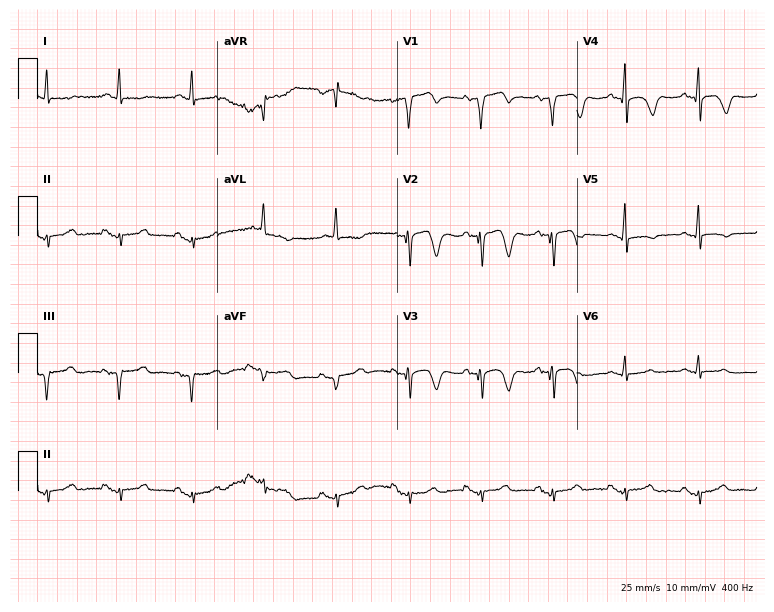
Standard 12-lead ECG recorded from a male, 64 years old. None of these six findings is recorded: first-degree AV block, right bundle branch block (RBBB), left bundle branch block (LBBB), sinus bradycardia, atrial fibrillation (AF), sinus tachycardia. Other findings, if any, are not listed.